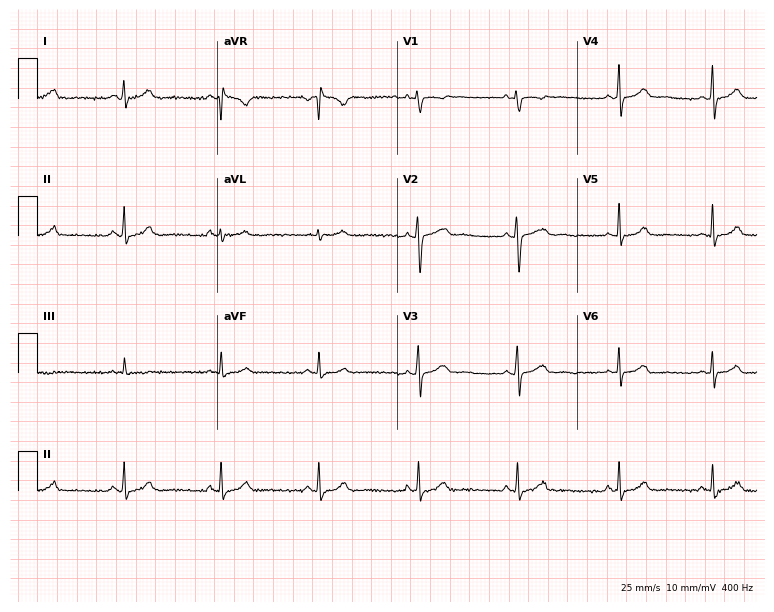
12-lead ECG from a female patient, 25 years old. No first-degree AV block, right bundle branch block, left bundle branch block, sinus bradycardia, atrial fibrillation or sinus tachycardia recorded for this tracing.